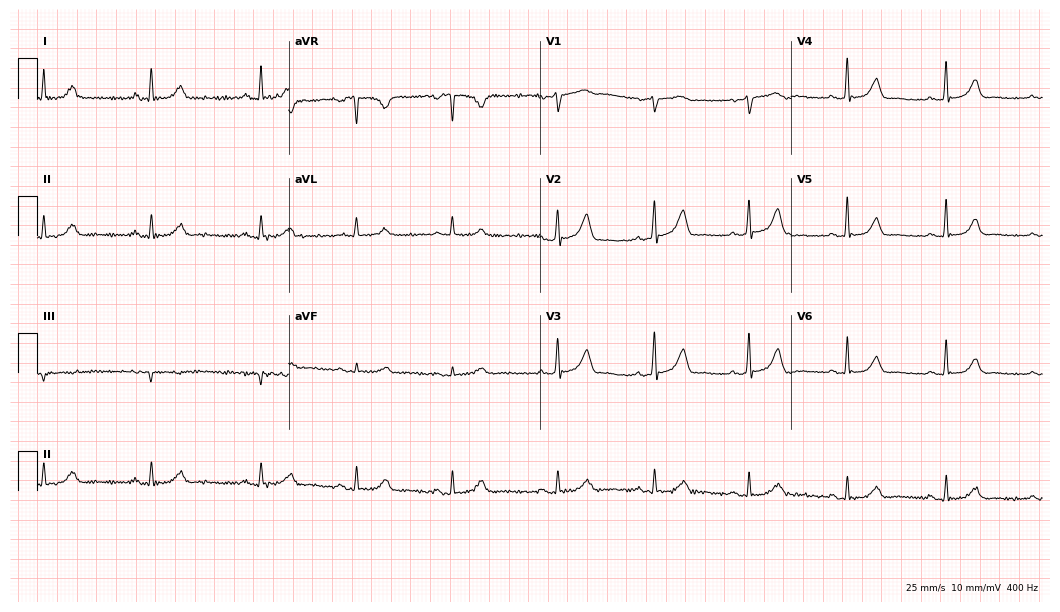
Resting 12-lead electrocardiogram (10.2-second recording at 400 Hz). Patient: a 47-year-old female. Read as a normal ECG.